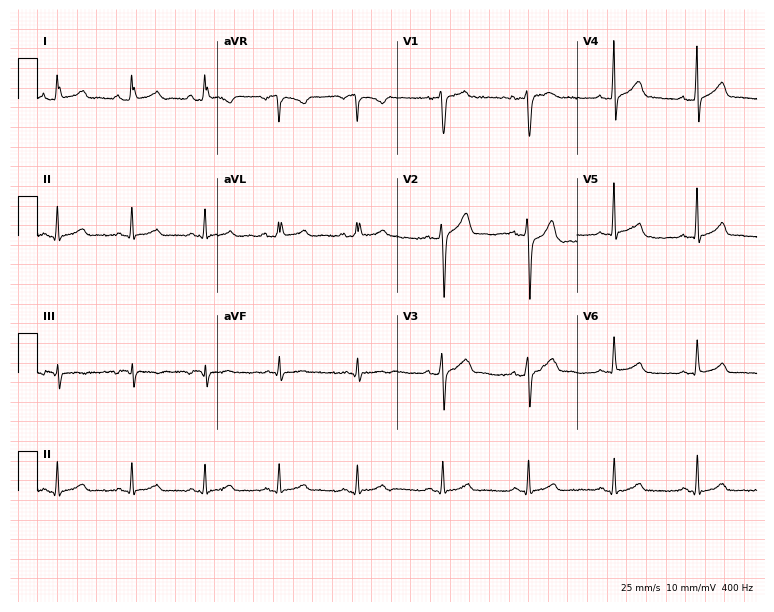
Standard 12-lead ECG recorded from a 21-year-old male (7.3-second recording at 400 Hz). Read as a normal ECG.